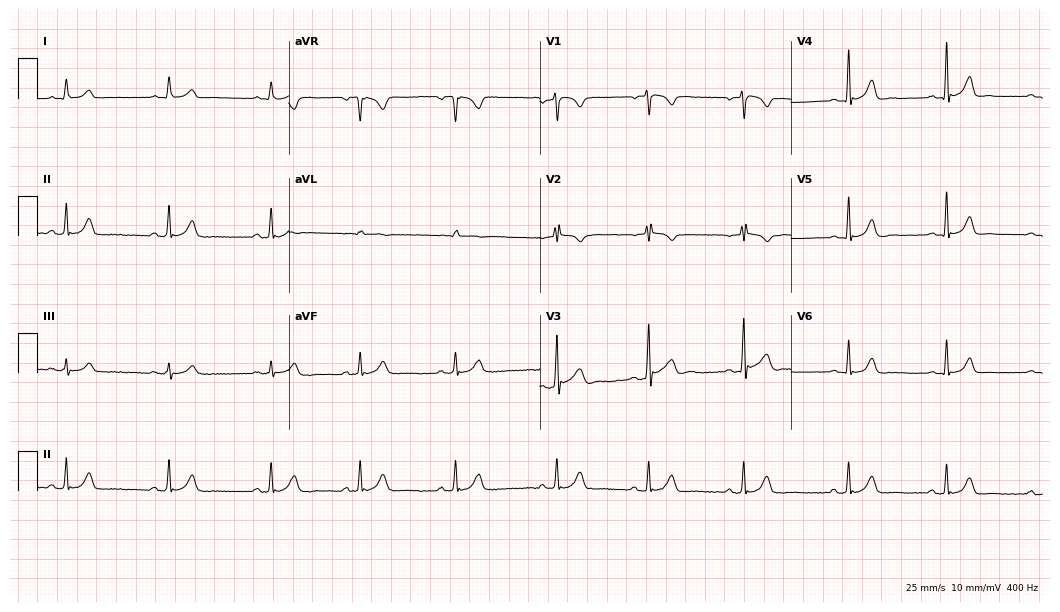
Resting 12-lead electrocardiogram (10.2-second recording at 400 Hz). Patient: a 19-year-old male. Read as a normal ECG.